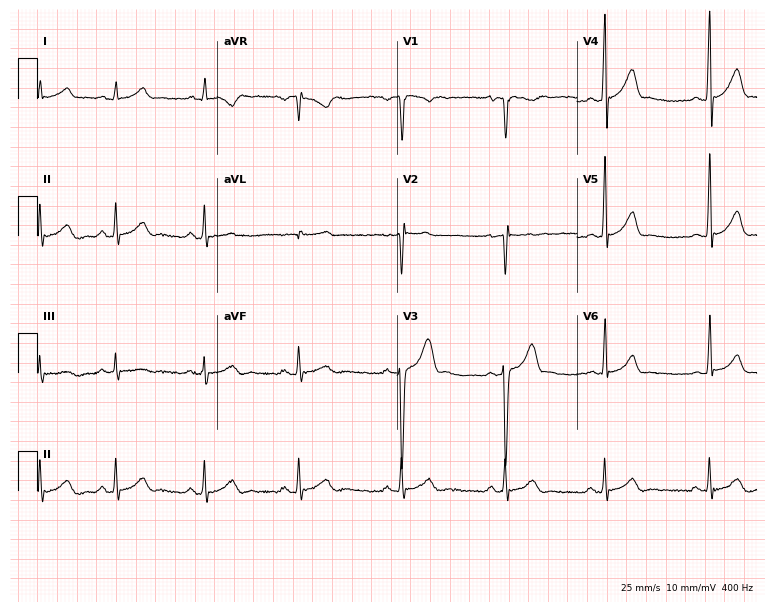
ECG — a 17-year-old male patient. Labelled as a normal ECG.